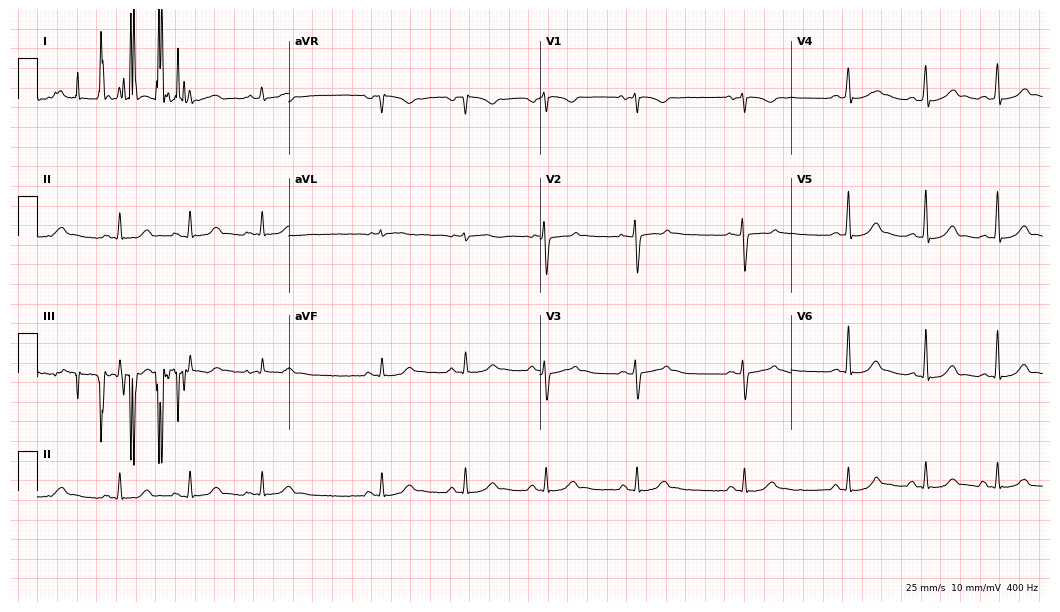
12-lead ECG from a woman, 18 years old. No first-degree AV block, right bundle branch block, left bundle branch block, sinus bradycardia, atrial fibrillation or sinus tachycardia recorded for this tracing. Only these six findings were labelled.